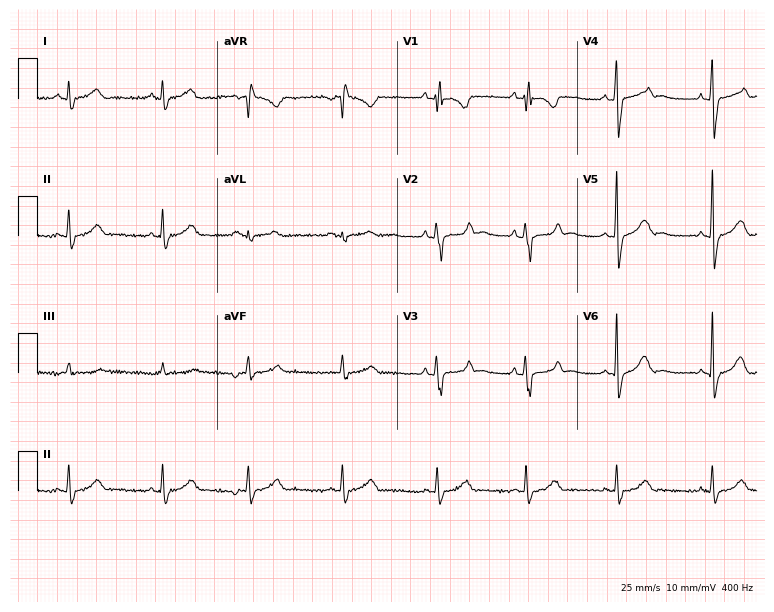
12-lead ECG from a 20-year-old female. No first-degree AV block, right bundle branch block (RBBB), left bundle branch block (LBBB), sinus bradycardia, atrial fibrillation (AF) or sinus tachycardia recorded for this tracing.